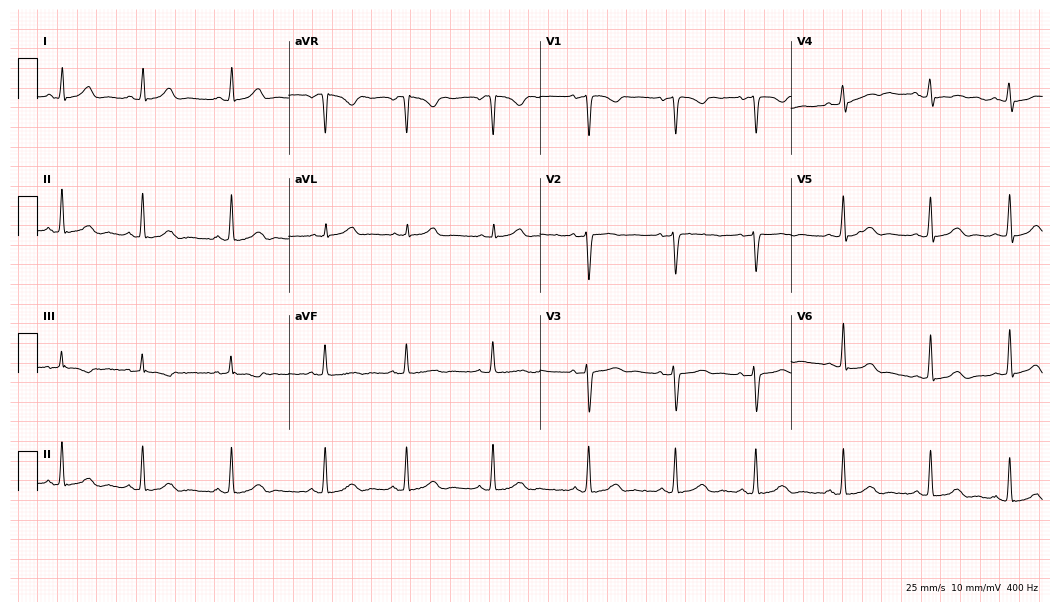
12-lead ECG from a 28-year-old woman. Labelled as a normal ECG.